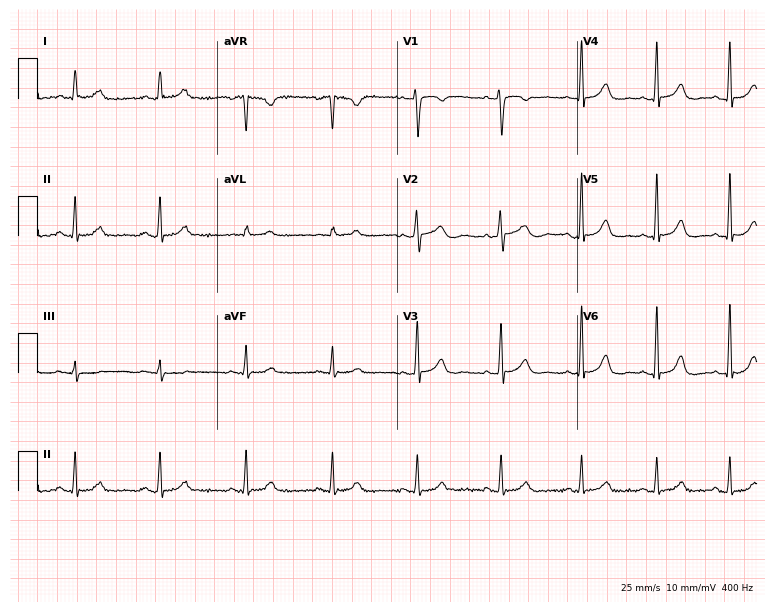
Standard 12-lead ECG recorded from a 26-year-old woman (7.3-second recording at 400 Hz). None of these six findings is recorded: first-degree AV block, right bundle branch block, left bundle branch block, sinus bradycardia, atrial fibrillation, sinus tachycardia.